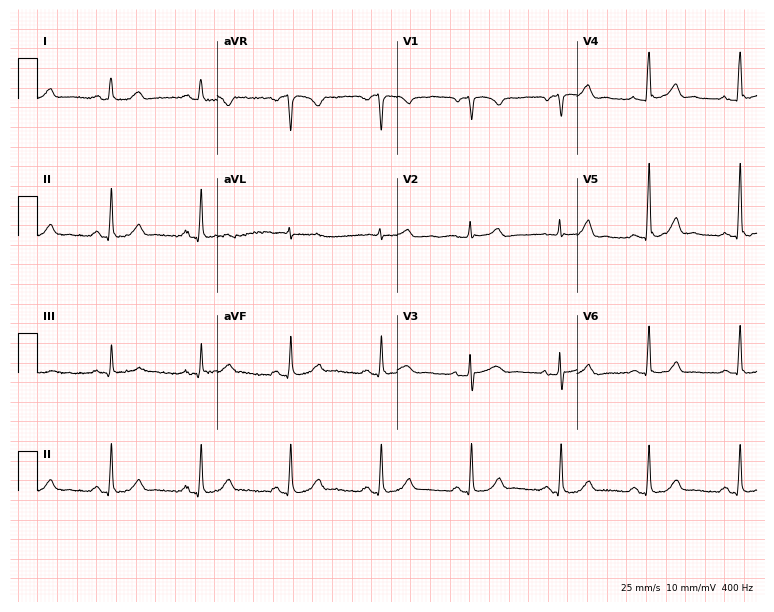
ECG (7.3-second recording at 400 Hz) — a female patient, 67 years old. Labelled as a normal ECG.